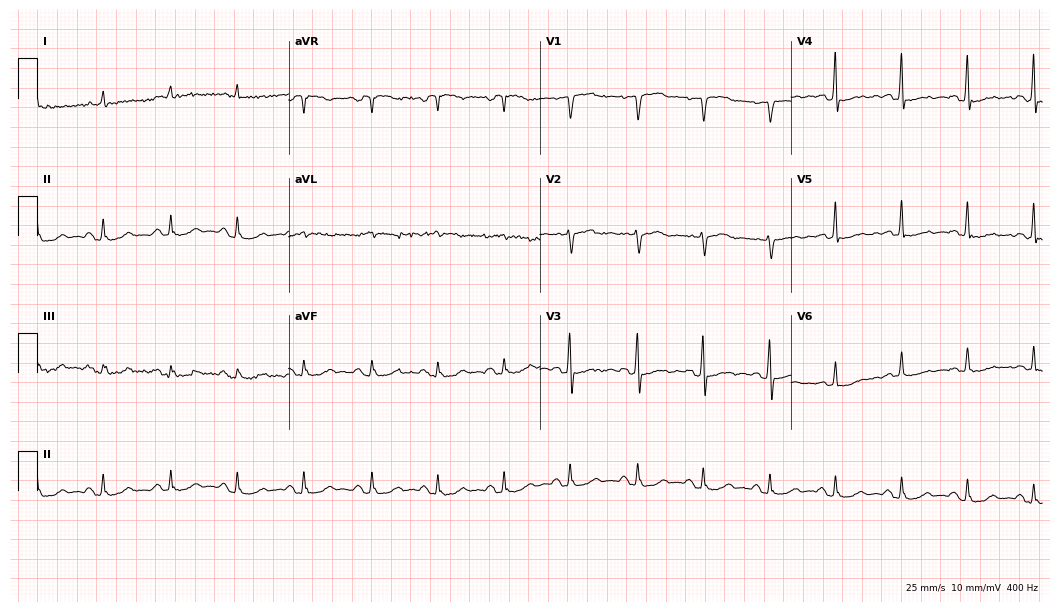
12-lead ECG from a man, 74 years old. No first-degree AV block, right bundle branch block (RBBB), left bundle branch block (LBBB), sinus bradycardia, atrial fibrillation (AF) or sinus tachycardia recorded for this tracing. Findings outside these six are not listed.